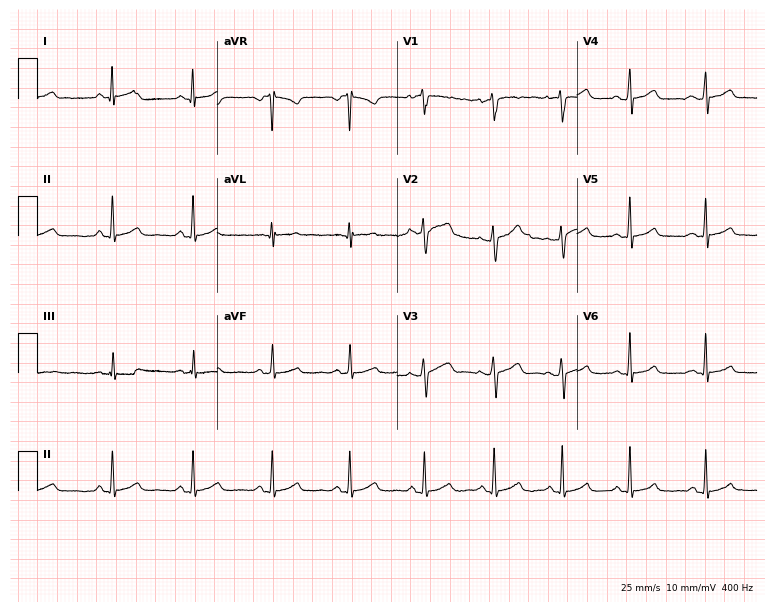
Electrocardiogram, a woman, 33 years old. Overall reading on record: normal ECG.